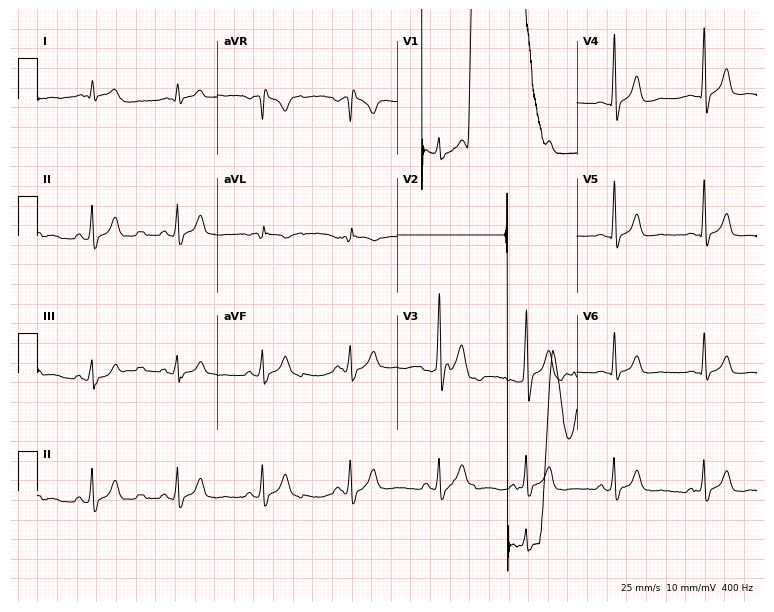
Electrocardiogram (7.3-second recording at 400 Hz), a 36-year-old male patient. Of the six screened findings (first-degree AV block, right bundle branch block, left bundle branch block, sinus bradycardia, atrial fibrillation, sinus tachycardia), none is recorded. Only these six findings were labelled.